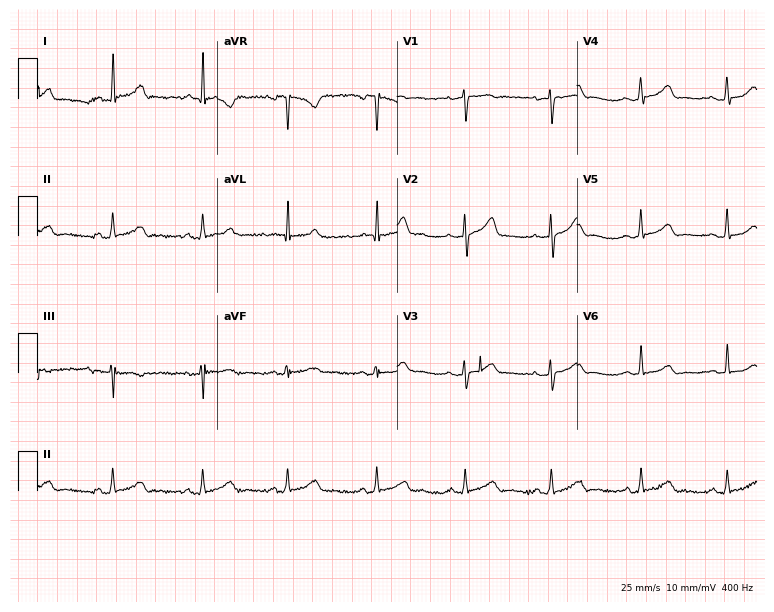
ECG (7.3-second recording at 400 Hz) — a female, 31 years old. Labelled as a normal ECG.